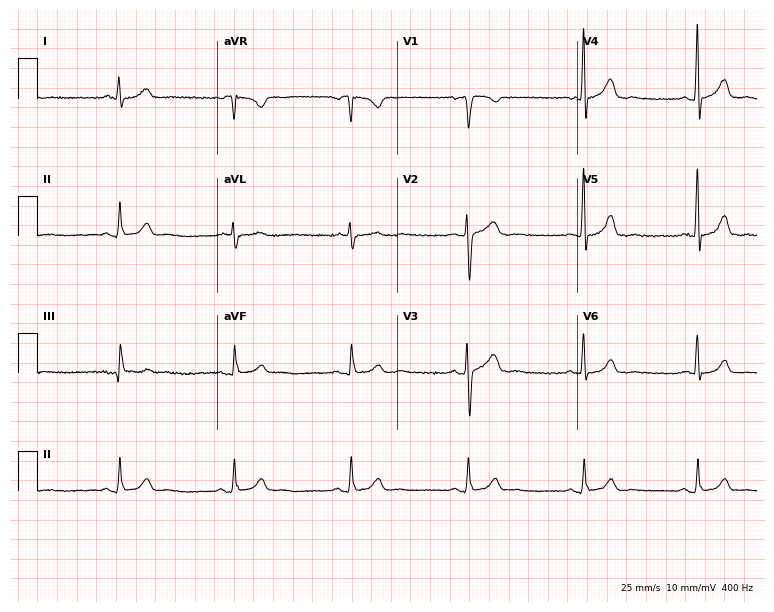
Resting 12-lead electrocardiogram. Patient: a 43-year-old man. Read as a normal ECG.